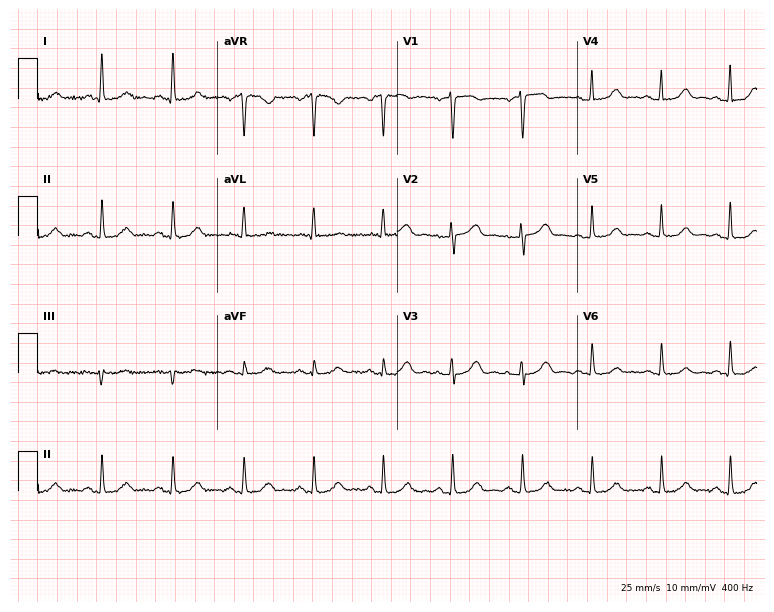
ECG (7.3-second recording at 400 Hz) — a female, 60 years old. Labelled as a normal ECG.